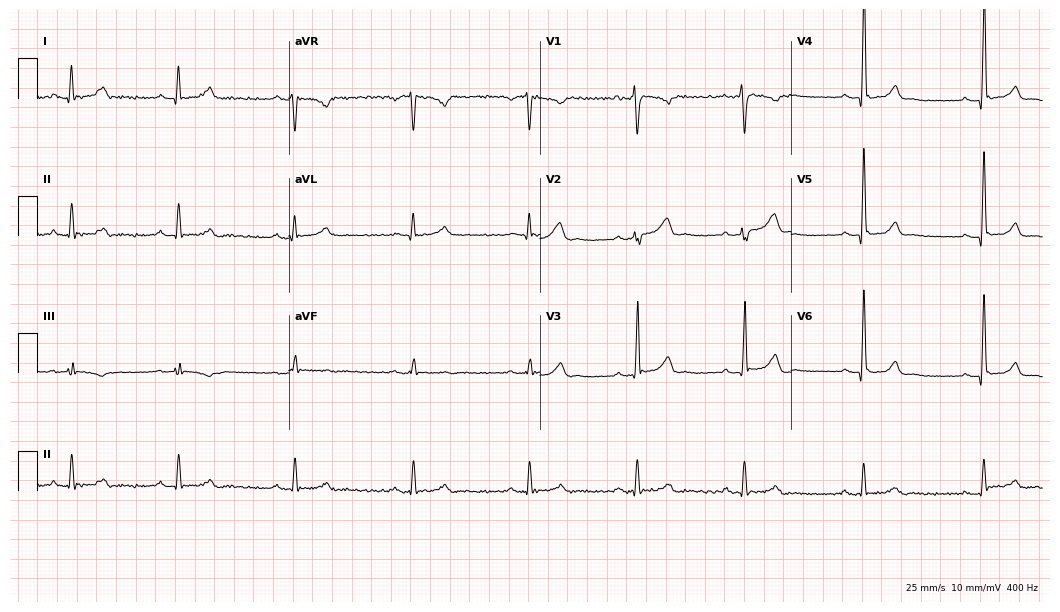
12-lead ECG from a 30-year-old man. No first-degree AV block, right bundle branch block (RBBB), left bundle branch block (LBBB), sinus bradycardia, atrial fibrillation (AF) or sinus tachycardia recorded for this tracing.